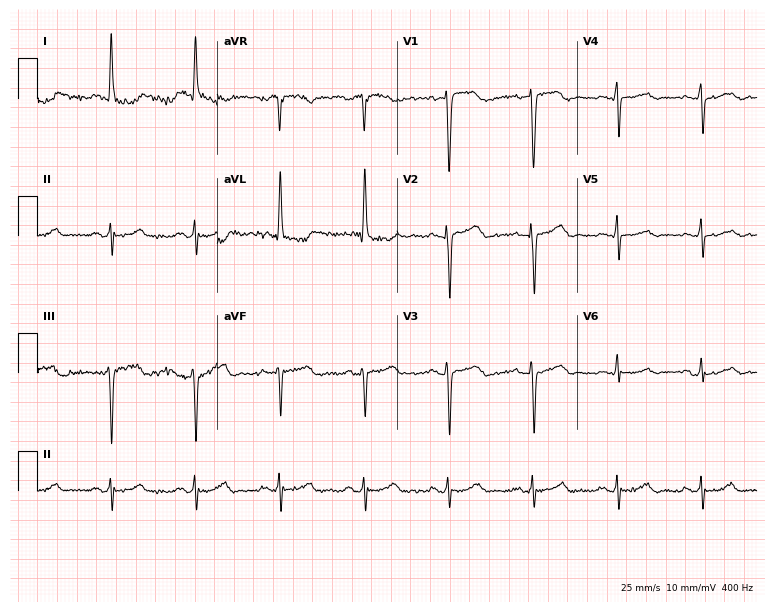
12-lead ECG (7.3-second recording at 400 Hz) from a 72-year-old female patient. Screened for six findings — first-degree AV block, right bundle branch block, left bundle branch block, sinus bradycardia, atrial fibrillation, sinus tachycardia — none is recorded. Only these six findings were labelled.